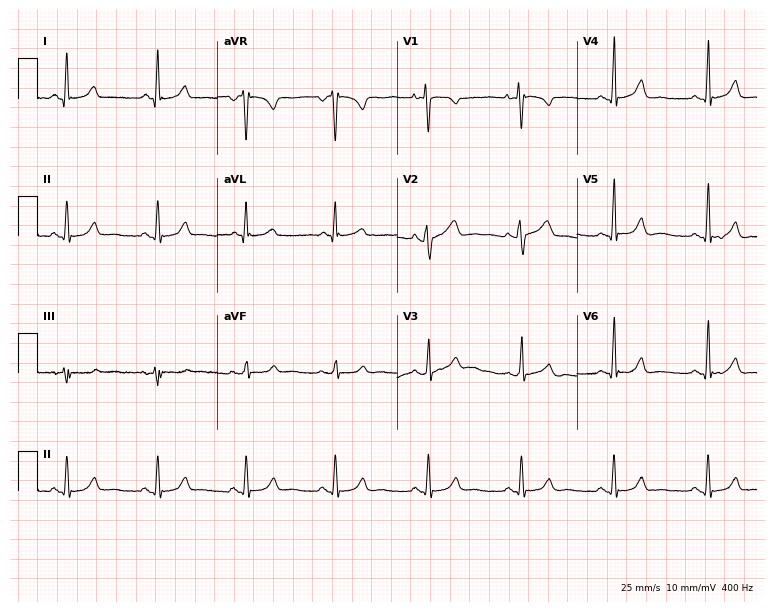
Standard 12-lead ECG recorded from a female, 34 years old. Read as a normal ECG.